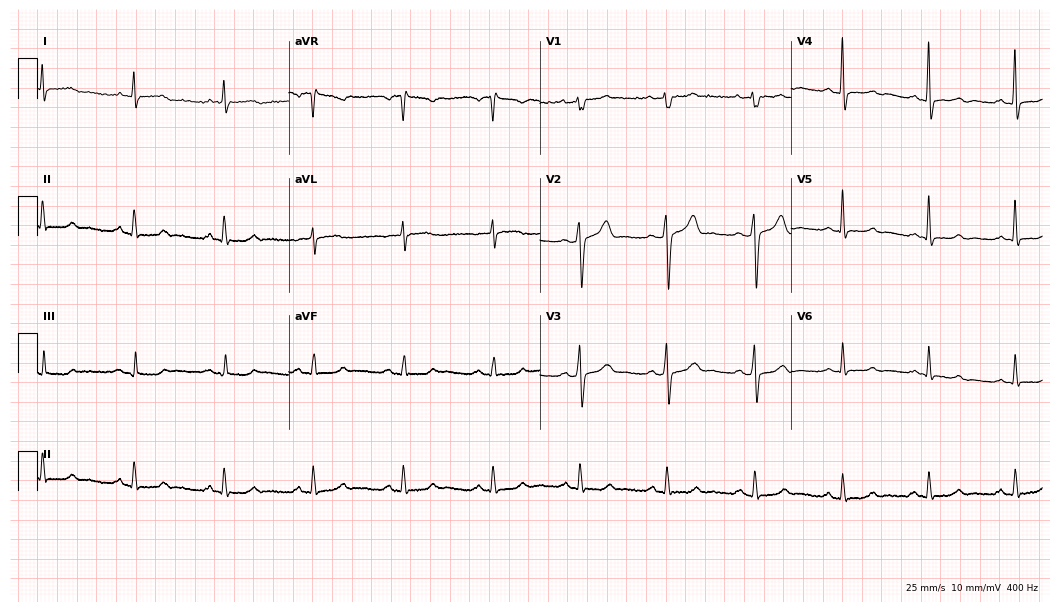
Electrocardiogram, a 58-year-old male. Overall reading on record: normal ECG.